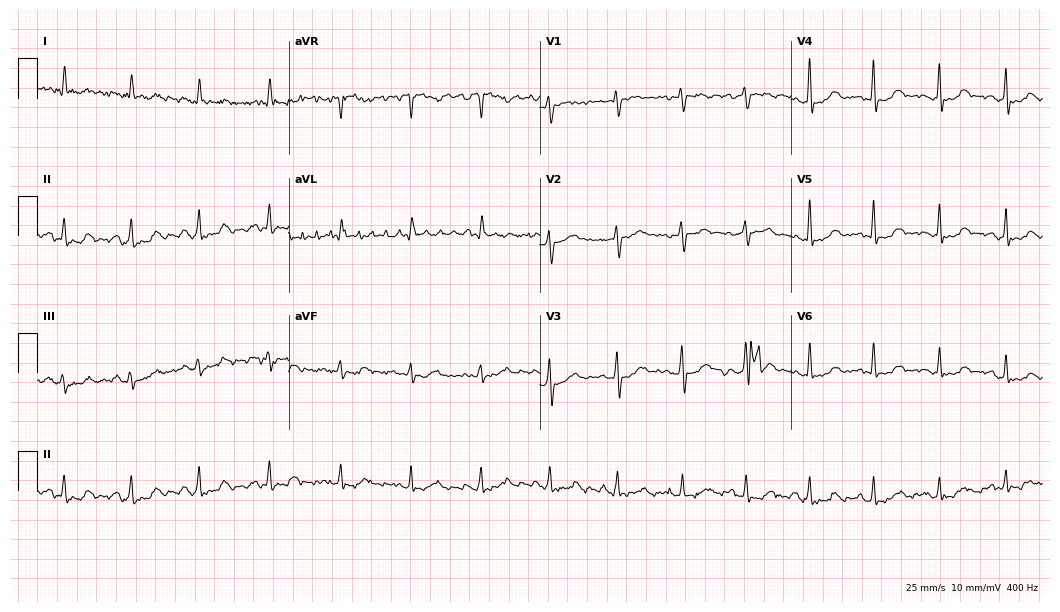
12-lead ECG (10.2-second recording at 400 Hz) from a female, 57 years old. Screened for six findings — first-degree AV block, right bundle branch block, left bundle branch block, sinus bradycardia, atrial fibrillation, sinus tachycardia — none is recorded.